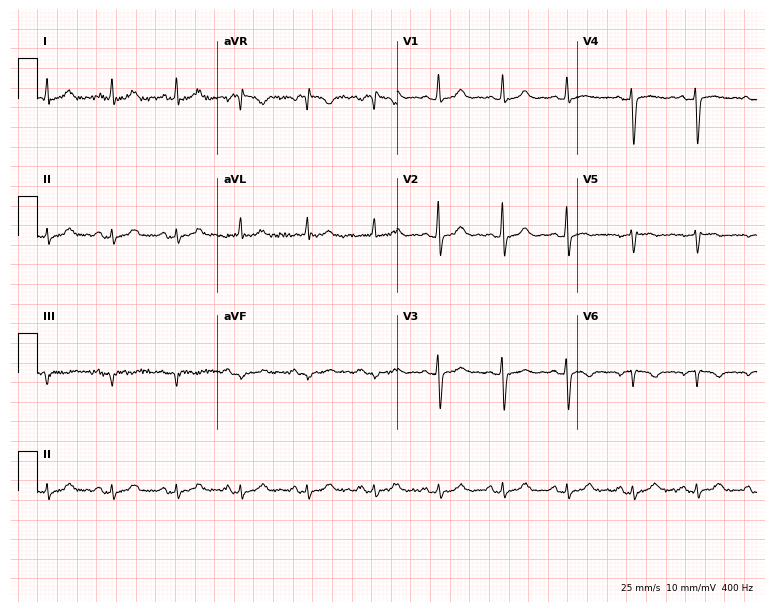
12-lead ECG (7.3-second recording at 400 Hz) from a 71-year-old woman. Screened for six findings — first-degree AV block, right bundle branch block, left bundle branch block, sinus bradycardia, atrial fibrillation, sinus tachycardia — none is recorded.